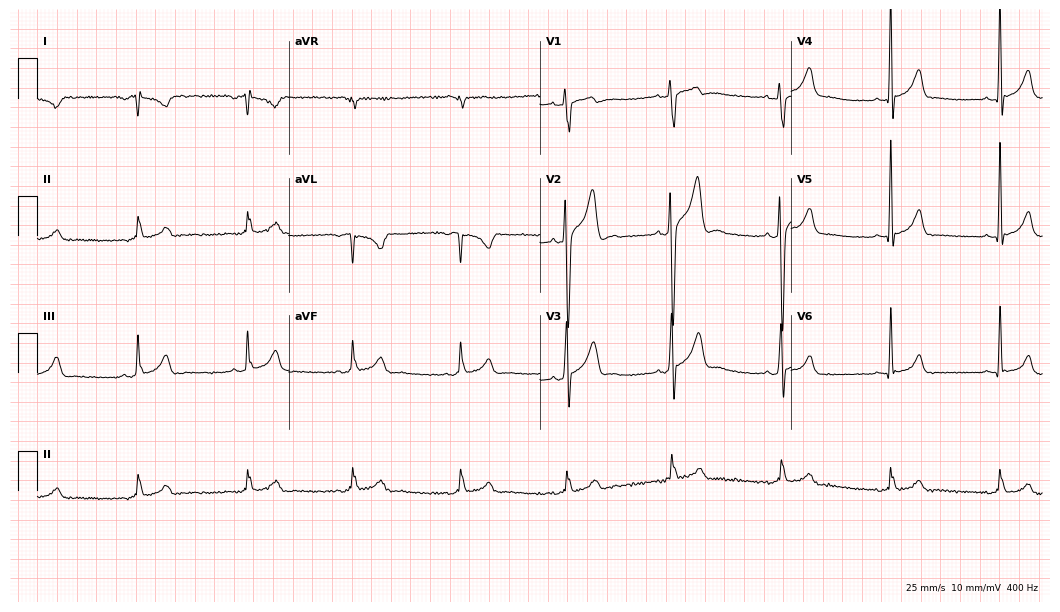
Standard 12-lead ECG recorded from a male patient, 23 years old. None of these six findings is recorded: first-degree AV block, right bundle branch block, left bundle branch block, sinus bradycardia, atrial fibrillation, sinus tachycardia. Other findings, if any, are not listed.